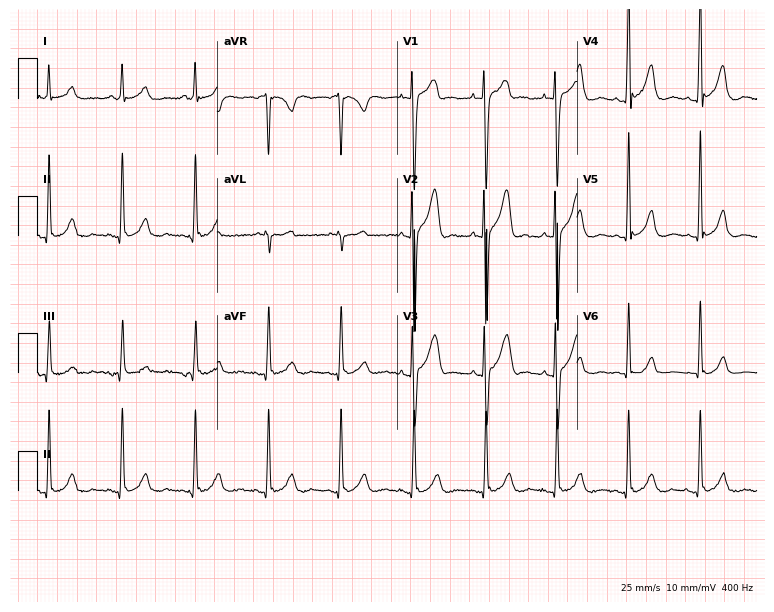
ECG — a 35-year-old male patient. Labelled as a normal ECG.